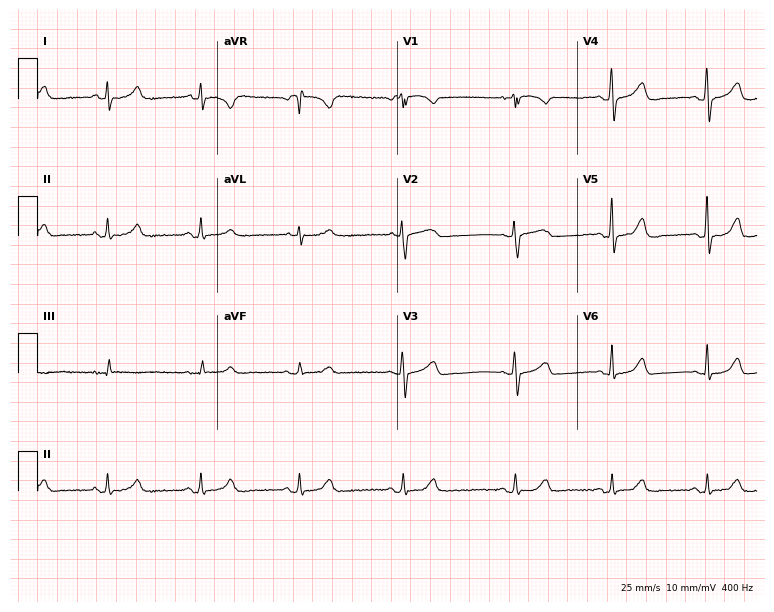
12-lead ECG from a female patient, 58 years old. Recorded interpretation: within normal limits.